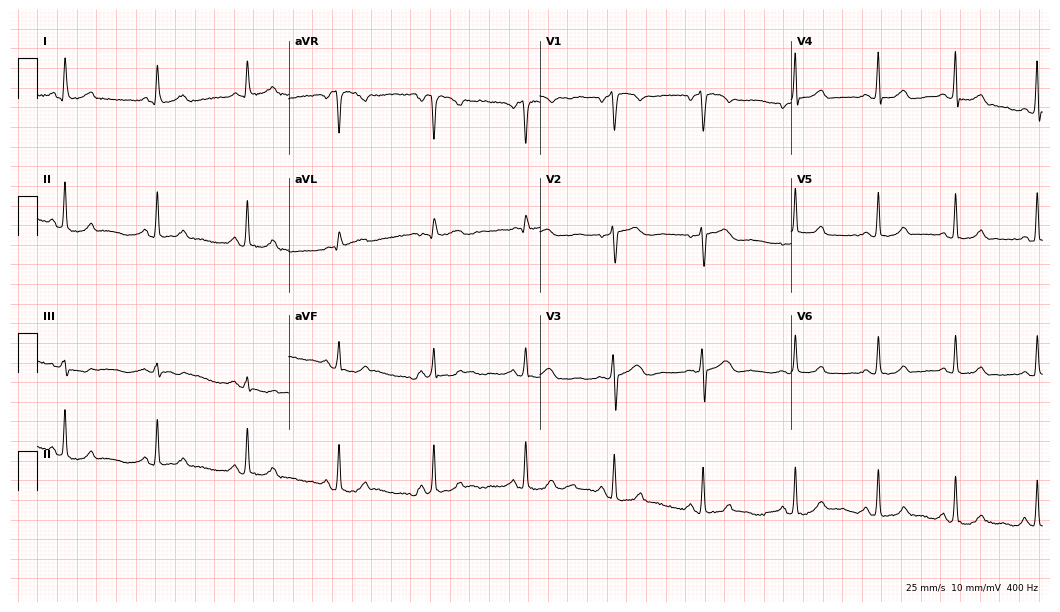
Resting 12-lead electrocardiogram (10.2-second recording at 400 Hz). Patient: a woman, 58 years old. Read as a normal ECG.